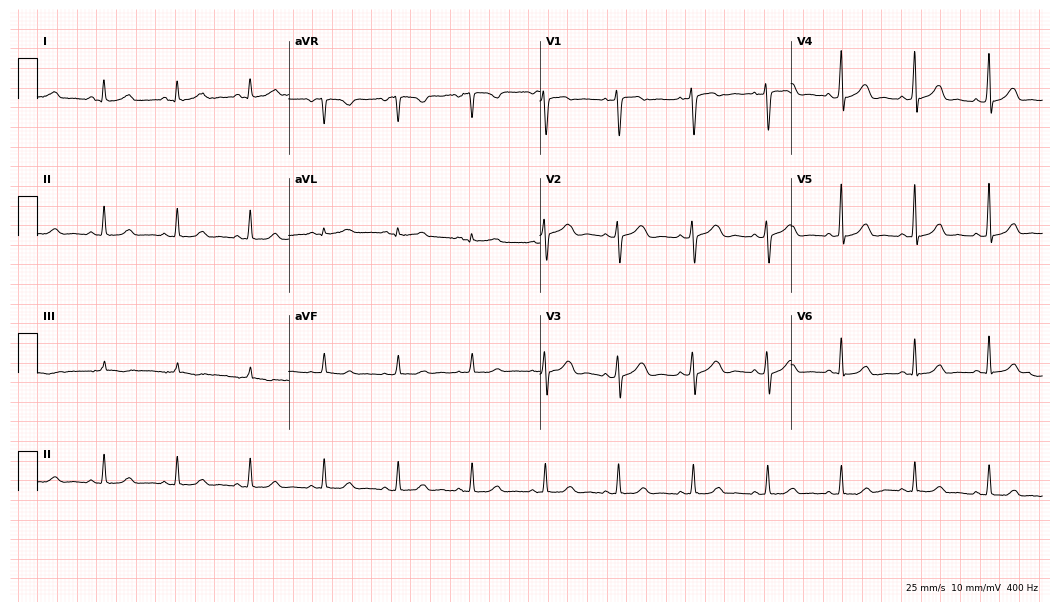
Electrocardiogram (10.2-second recording at 400 Hz), a woman, 38 years old. Overall reading on record: normal ECG.